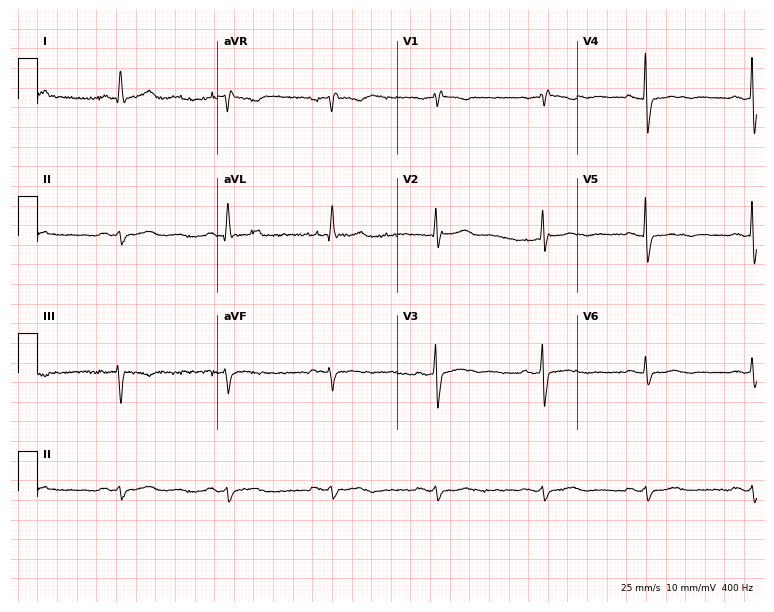
12-lead ECG from a female, 72 years old (7.3-second recording at 400 Hz). No first-degree AV block, right bundle branch block (RBBB), left bundle branch block (LBBB), sinus bradycardia, atrial fibrillation (AF) or sinus tachycardia recorded for this tracing. Other findings, if any, are not listed.